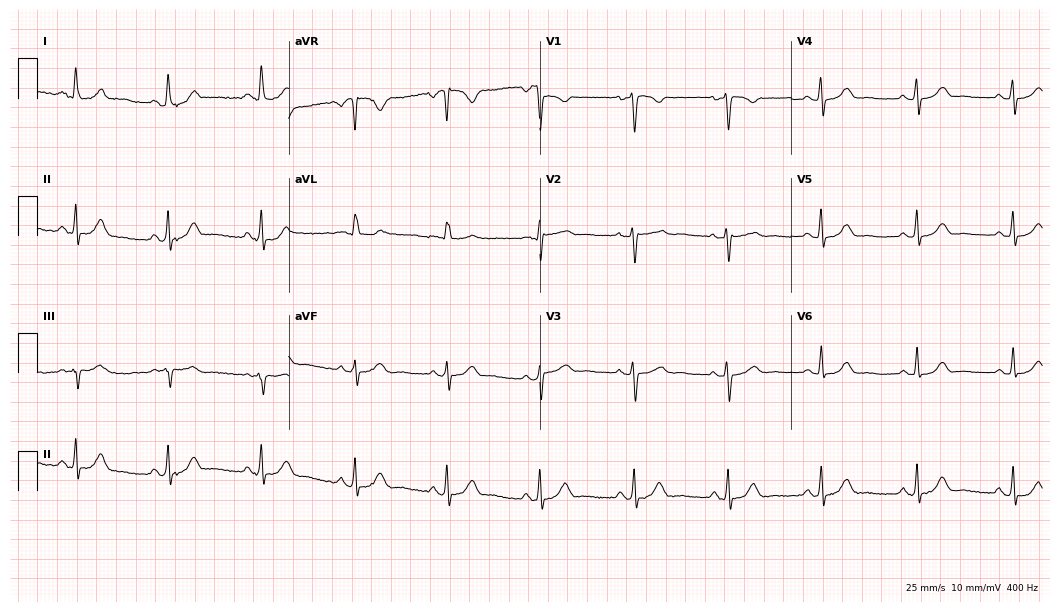
12-lead ECG from a female patient, 61 years old. Labelled as a normal ECG.